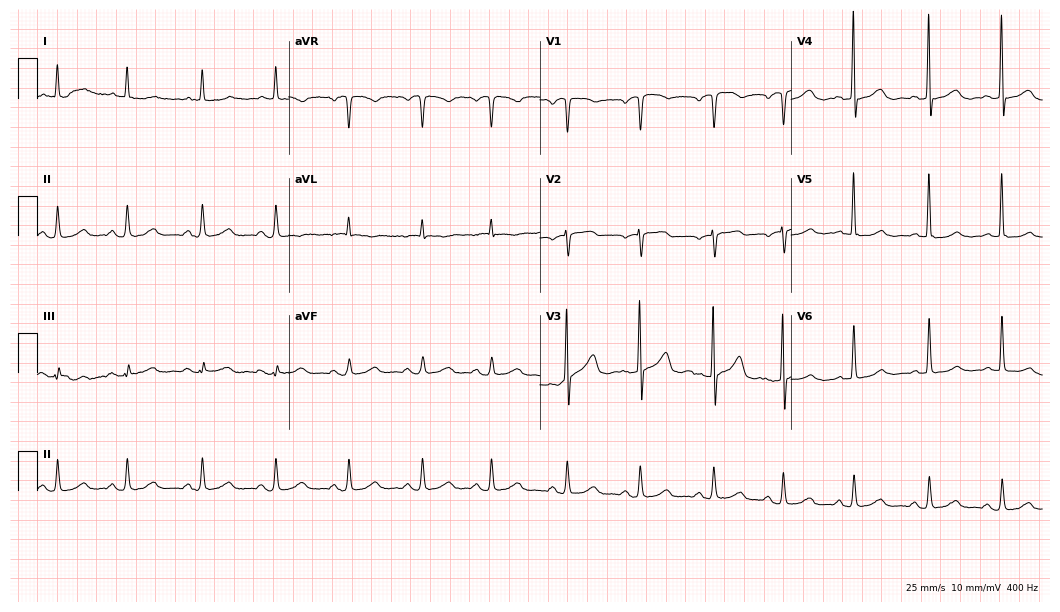
12-lead ECG (10.2-second recording at 400 Hz) from a 76-year-old female. Labelled as a normal ECG.